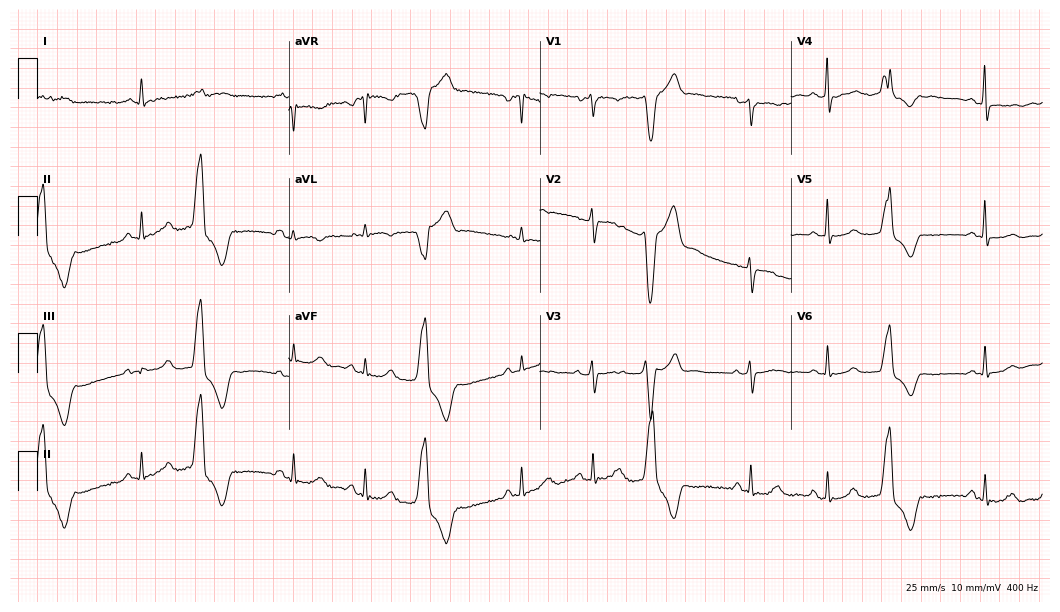
Standard 12-lead ECG recorded from a 51-year-old woman (10.2-second recording at 400 Hz). None of these six findings is recorded: first-degree AV block, right bundle branch block (RBBB), left bundle branch block (LBBB), sinus bradycardia, atrial fibrillation (AF), sinus tachycardia. Only these six findings were labelled.